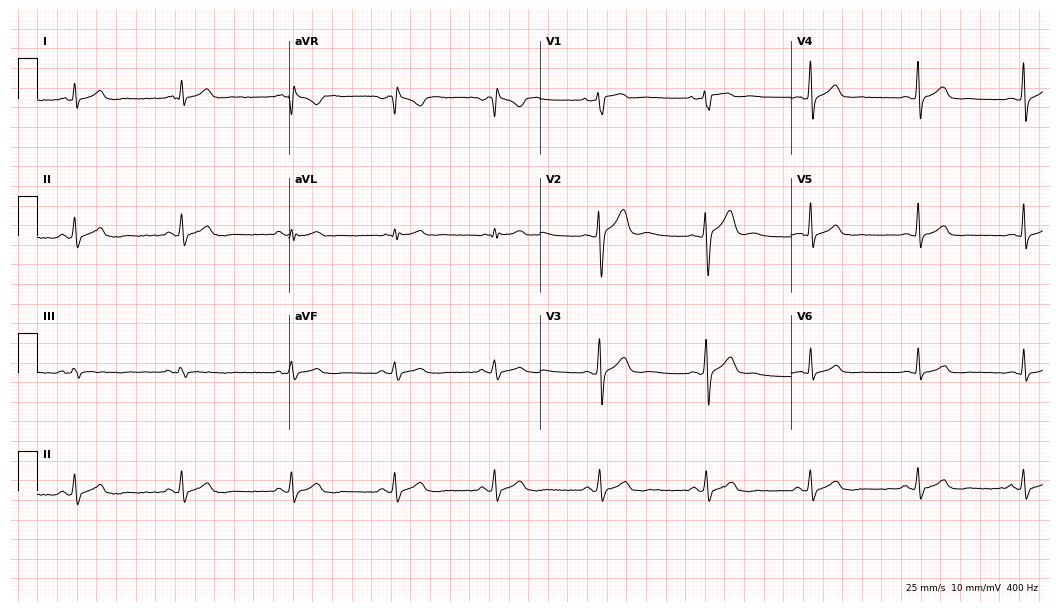
Standard 12-lead ECG recorded from a 26-year-old man. None of these six findings is recorded: first-degree AV block, right bundle branch block, left bundle branch block, sinus bradycardia, atrial fibrillation, sinus tachycardia. Only these six findings were labelled.